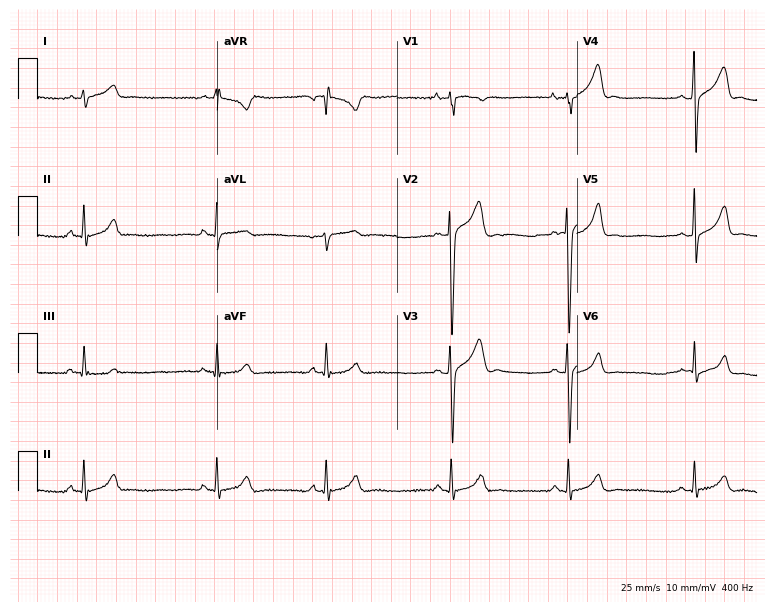
Standard 12-lead ECG recorded from a 17-year-old male. None of these six findings is recorded: first-degree AV block, right bundle branch block, left bundle branch block, sinus bradycardia, atrial fibrillation, sinus tachycardia. Only these six findings were labelled.